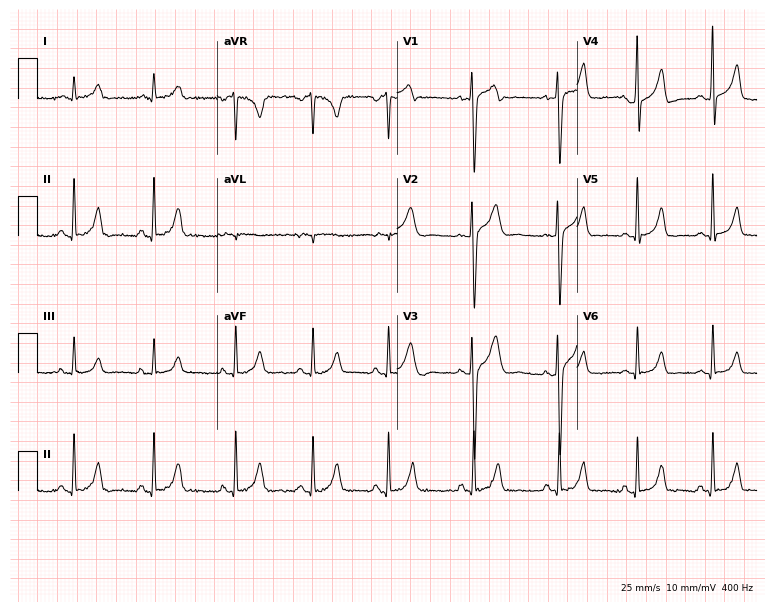
Electrocardiogram (7.3-second recording at 400 Hz), a 22-year-old male patient. Of the six screened findings (first-degree AV block, right bundle branch block (RBBB), left bundle branch block (LBBB), sinus bradycardia, atrial fibrillation (AF), sinus tachycardia), none is recorded.